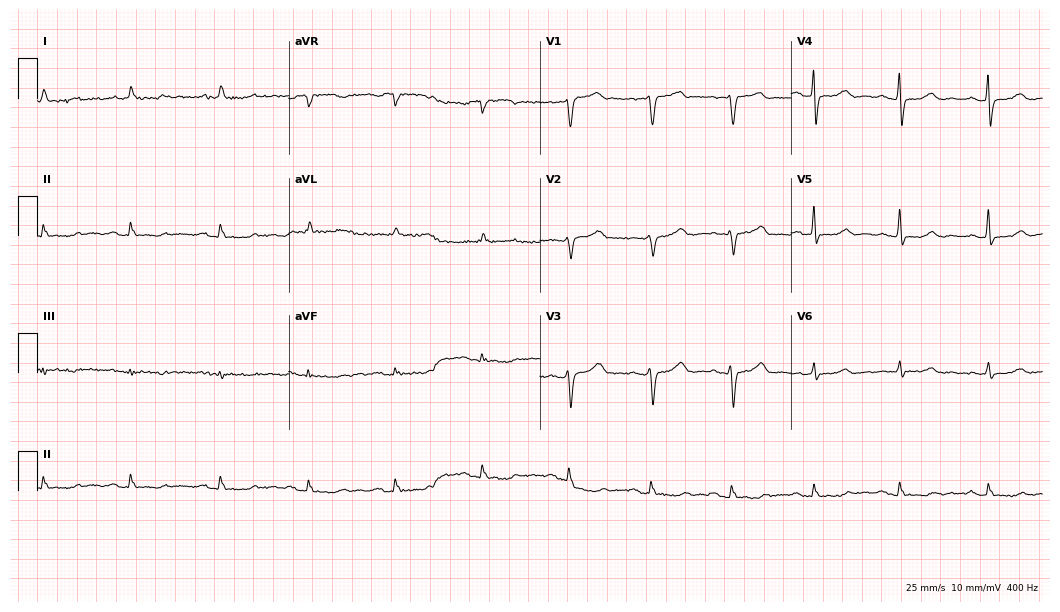
12-lead ECG from a male patient, 81 years old (10.2-second recording at 400 Hz). No first-degree AV block, right bundle branch block, left bundle branch block, sinus bradycardia, atrial fibrillation or sinus tachycardia recorded for this tracing. Only these six findings were labelled.